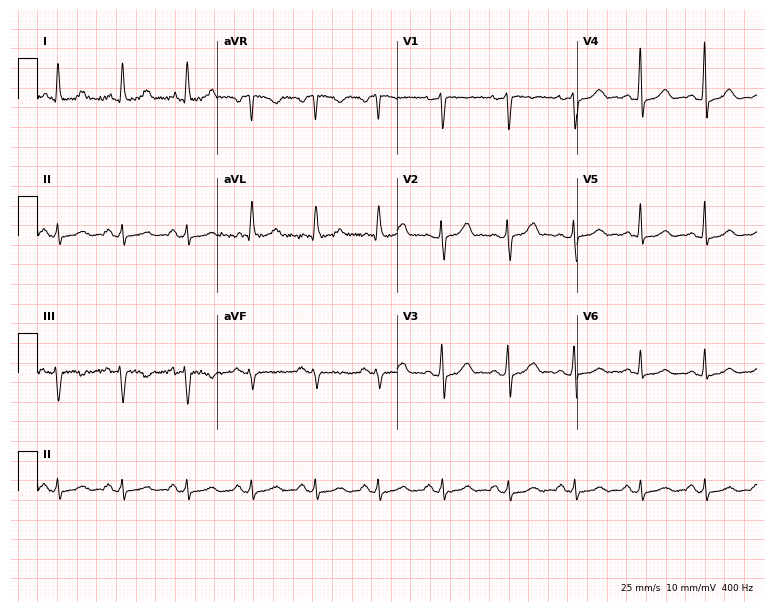
Electrocardiogram (7.3-second recording at 400 Hz), a 39-year-old female. Of the six screened findings (first-degree AV block, right bundle branch block (RBBB), left bundle branch block (LBBB), sinus bradycardia, atrial fibrillation (AF), sinus tachycardia), none is recorded. Other findings, if any, are not listed.